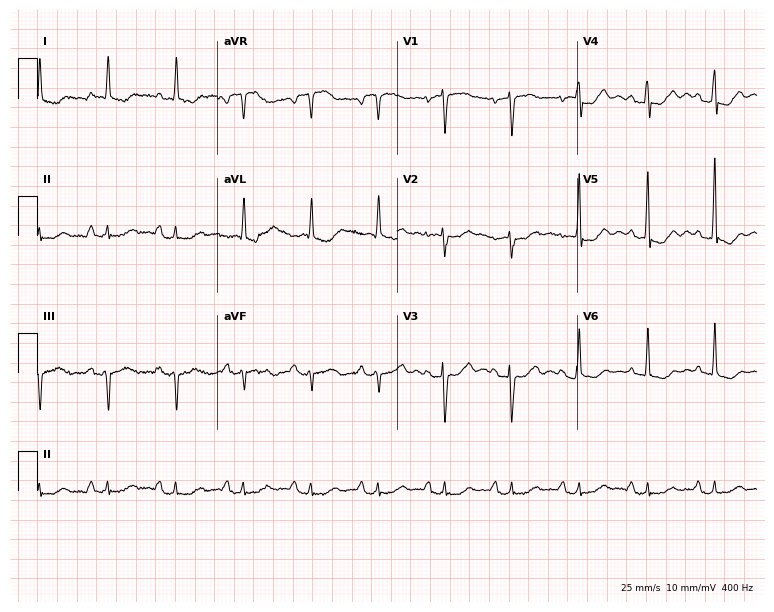
12-lead ECG (7.3-second recording at 400 Hz) from a woman, 73 years old. Screened for six findings — first-degree AV block, right bundle branch block (RBBB), left bundle branch block (LBBB), sinus bradycardia, atrial fibrillation (AF), sinus tachycardia — none is recorded.